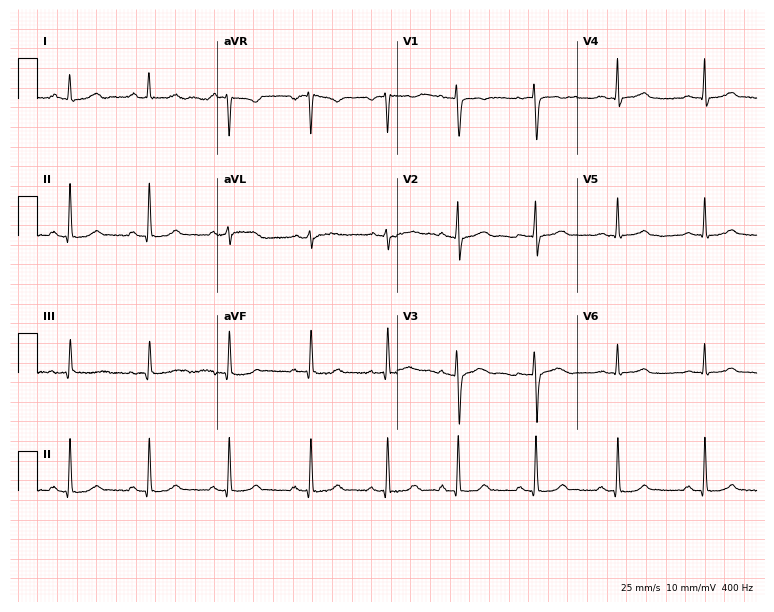
Electrocardiogram (7.3-second recording at 400 Hz), a 39-year-old woman. Of the six screened findings (first-degree AV block, right bundle branch block (RBBB), left bundle branch block (LBBB), sinus bradycardia, atrial fibrillation (AF), sinus tachycardia), none is recorded. Findings outside these six are not listed.